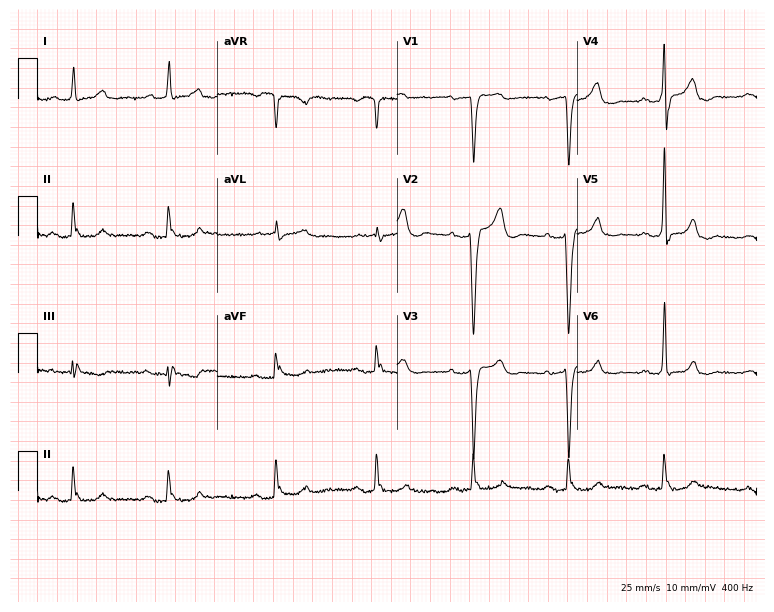
12-lead ECG from a male, 81 years old. No first-degree AV block, right bundle branch block, left bundle branch block, sinus bradycardia, atrial fibrillation or sinus tachycardia recorded for this tracing. Findings outside these six are not listed.